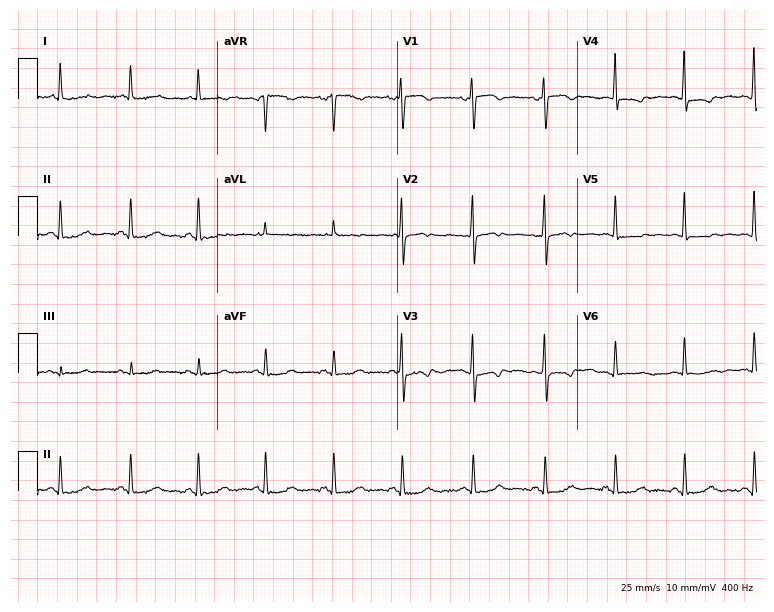
12-lead ECG from a woman, 62 years old (7.3-second recording at 400 Hz). No first-degree AV block, right bundle branch block, left bundle branch block, sinus bradycardia, atrial fibrillation or sinus tachycardia recorded for this tracing. Findings outside these six are not listed.